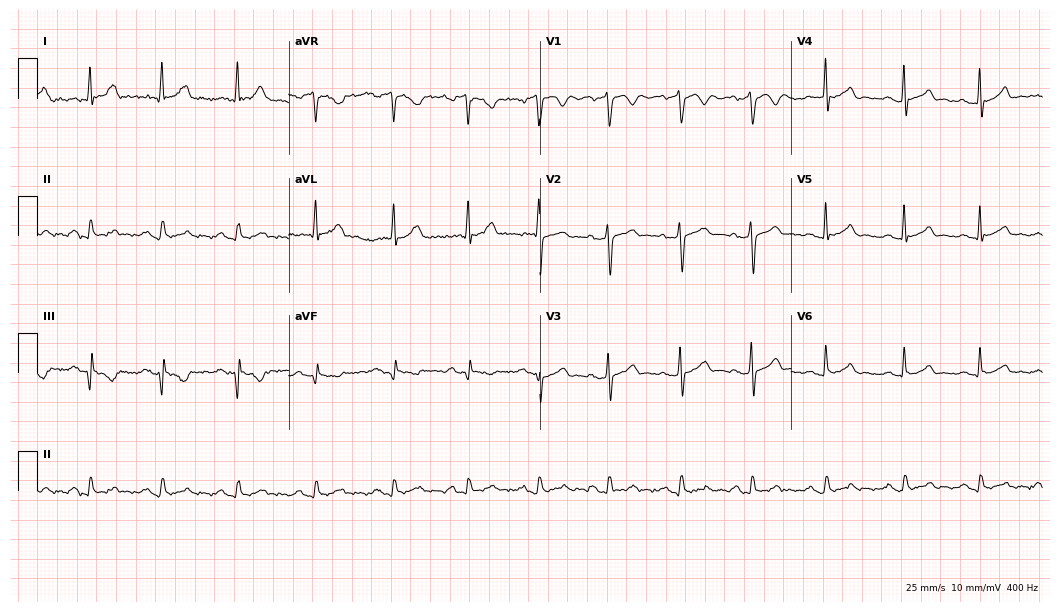
Resting 12-lead electrocardiogram (10.2-second recording at 400 Hz). Patient: a 50-year-old man. None of these six findings is recorded: first-degree AV block, right bundle branch block, left bundle branch block, sinus bradycardia, atrial fibrillation, sinus tachycardia. Only these six findings were labelled.